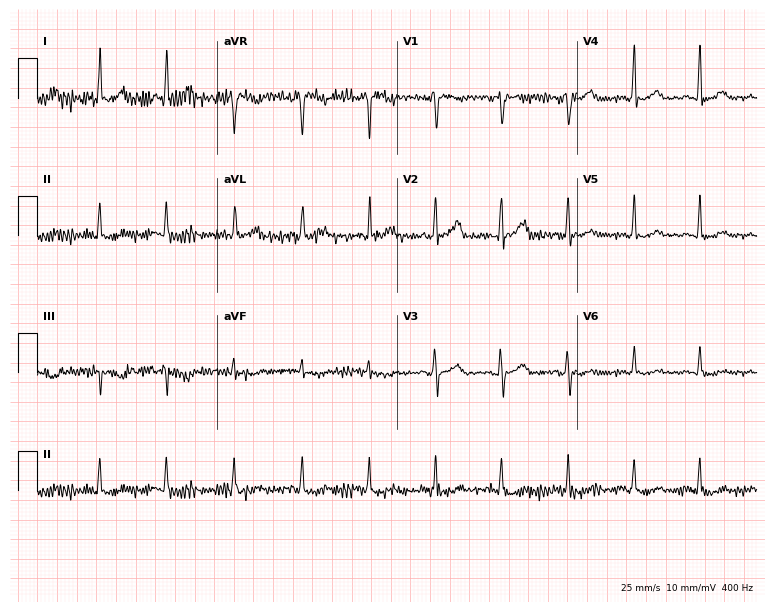
Standard 12-lead ECG recorded from a woman, 55 years old. None of these six findings is recorded: first-degree AV block, right bundle branch block (RBBB), left bundle branch block (LBBB), sinus bradycardia, atrial fibrillation (AF), sinus tachycardia.